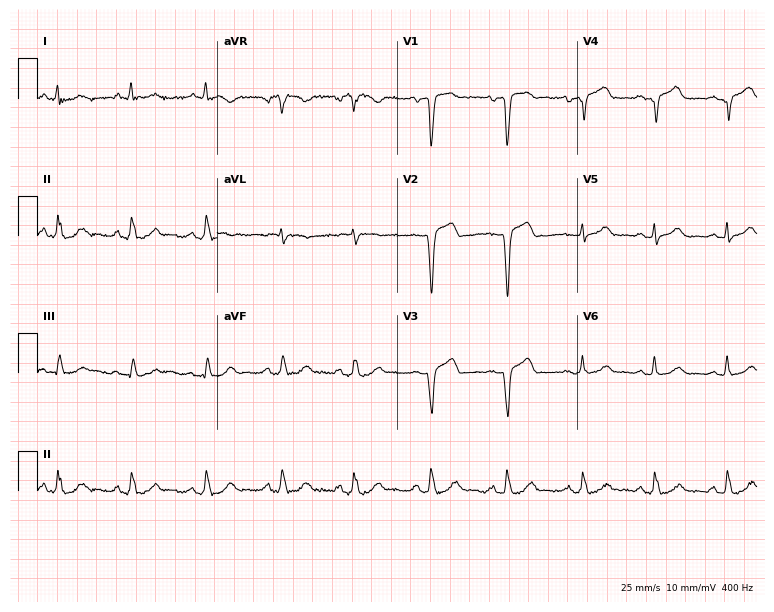
Electrocardiogram, a 58-year-old male. Of the six screened findings (first-degree AV block, right bundle branch block, left bundle branch block, sinus bradycardia, atrial fibrillation, sinus tachycardia), none is recorded. Findings outside these six are not listed.